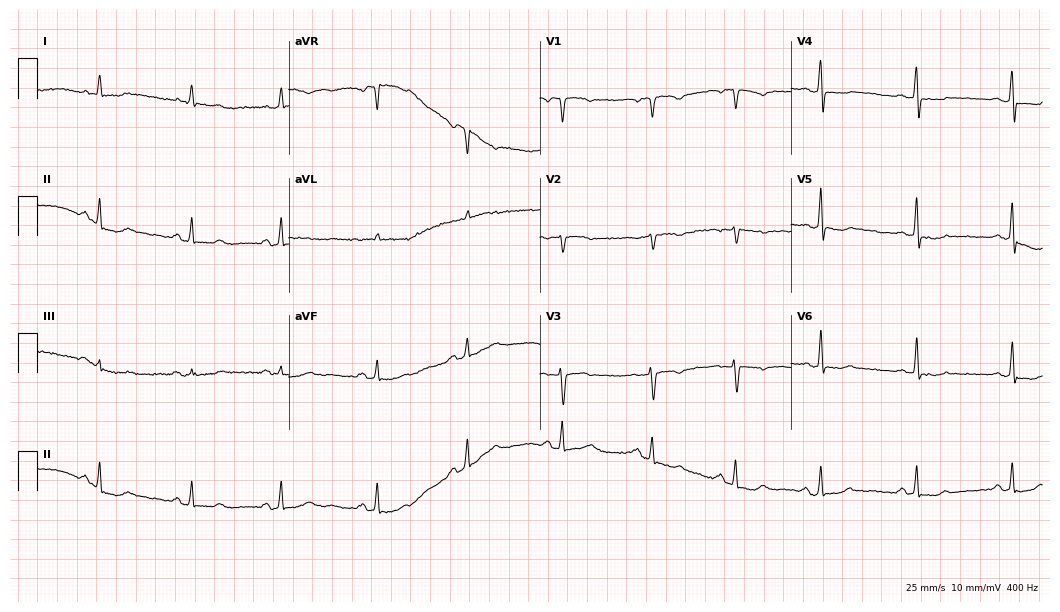
Resting 12-lead electrocardiogram (10.2-second recording at 400 Hz). Patient: a 52-year-old female. None of these six findings is recorded: first-degree AV block, right bundle branch block, left bundle branch block, sinus bradycardia, atrial fibrillation, sinus tachycardia. Findings outside these six are not listed.